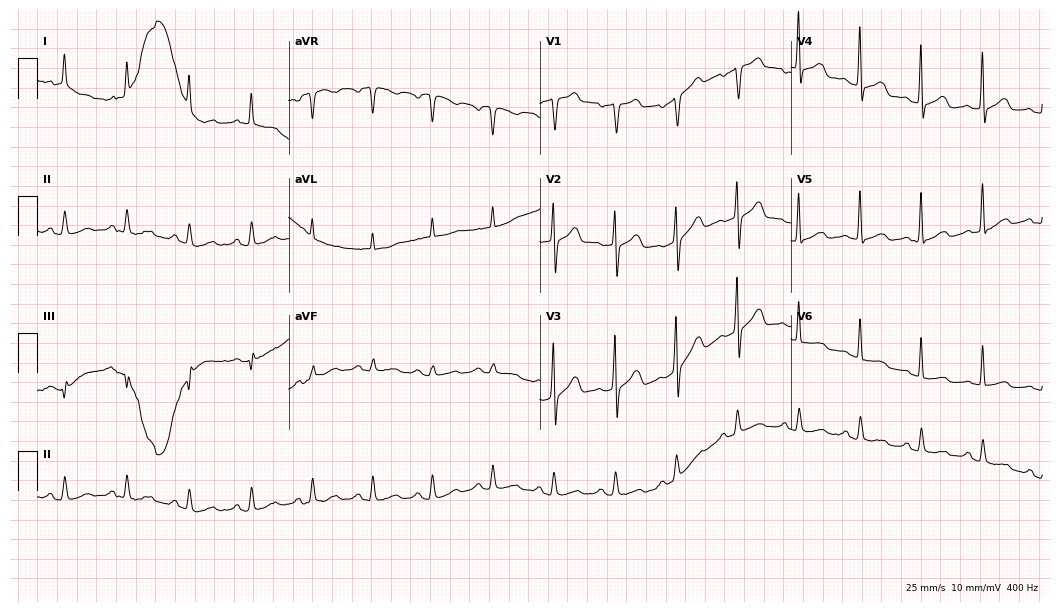
ECG — a 43-year-old man. Screened for six findings — first-degree AV block, right bundle branch block (RBBB), left bundle branch block (LBBB), sinus bradycardia, atrial fibrillation (AF), sinus tachycardia — none is recorded.